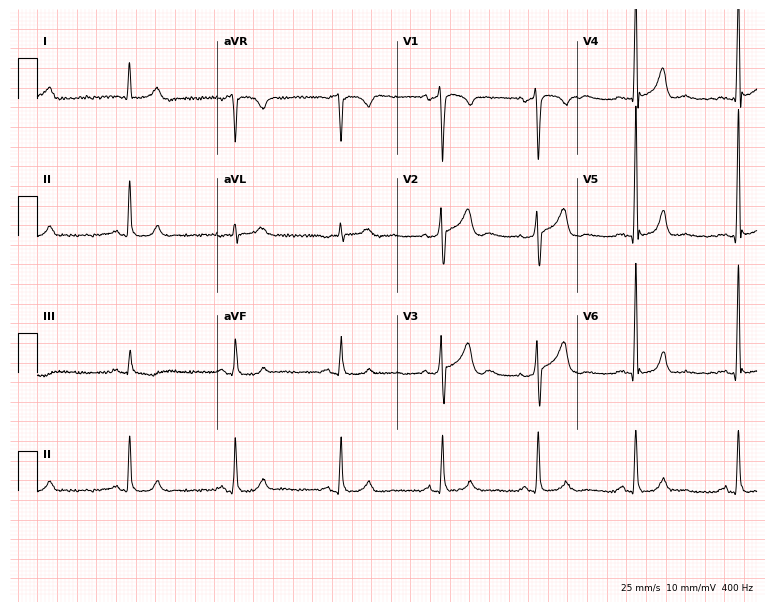
Standard 12-lead ECG recorded from a male patient, 41 years old. None of these six findings is recorded: first-degree AV block, right bundle branch block, left bundle branch block, sinus bradycardia, atrial fibrillation, sinus tachycardia.